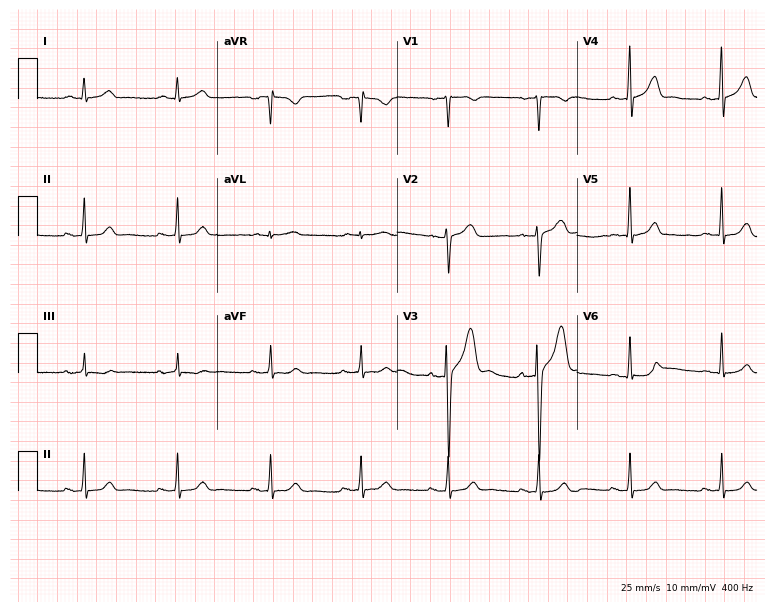
ECG (7.3-second recording at 400 Hz) — a male, 41 years old. Labelled as a normal ECG.